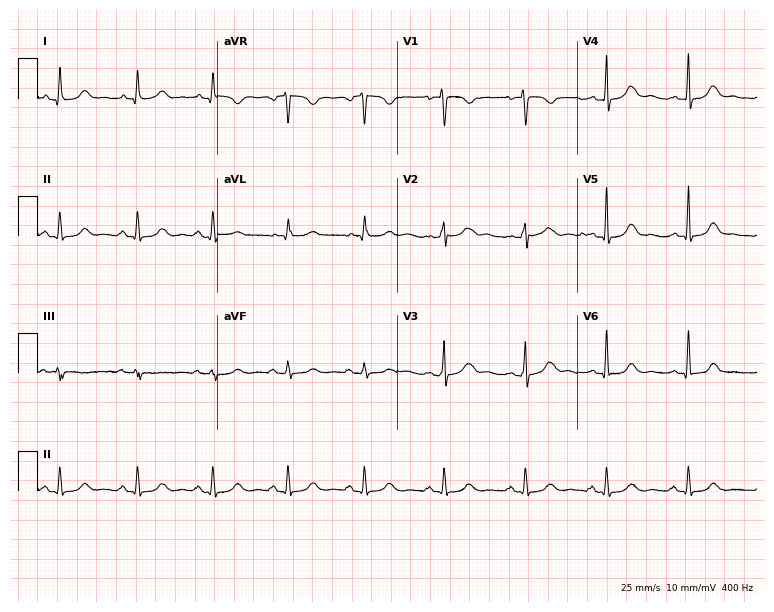
12-lead ECG from a female patient, 44 years old. No first-degree AV block, right bundle branch block (RBBB), left bundle branch block (LBBB), sinus bradycardia, atrial fibrillation (AF) or sinus tachycardia recorded for this tracing. Only these six findings were labelled.